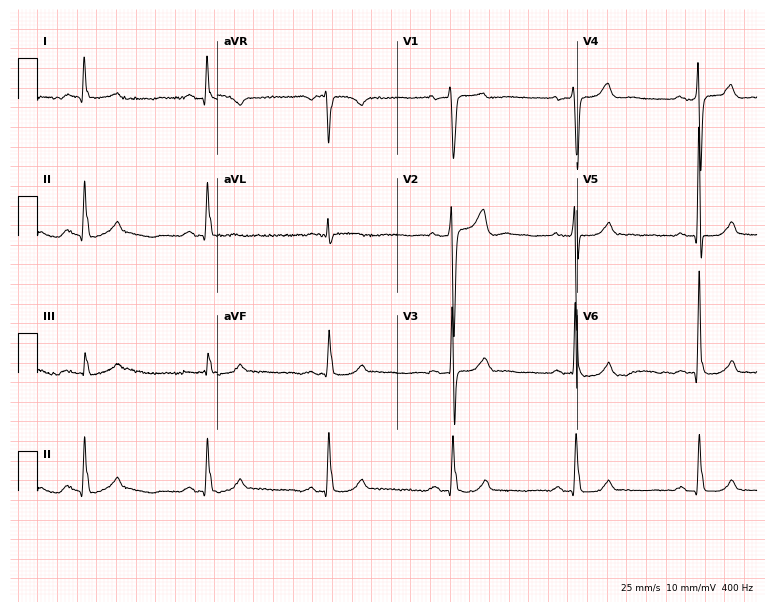
12-lead ECG from a 63-year-old female patient. Screened for six findings — first-degree AV block, right bundle branch block, left bundle branch block, sinus bradycardia, atrial fibrillation, sinus tachycardia — none is recorded.